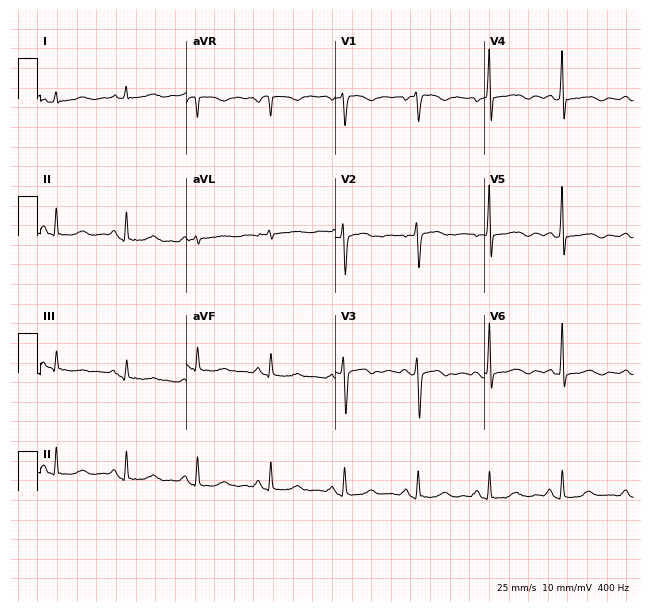
Electrocardiogram, a 52-year-old female. Overall reading on record: normal ECG.